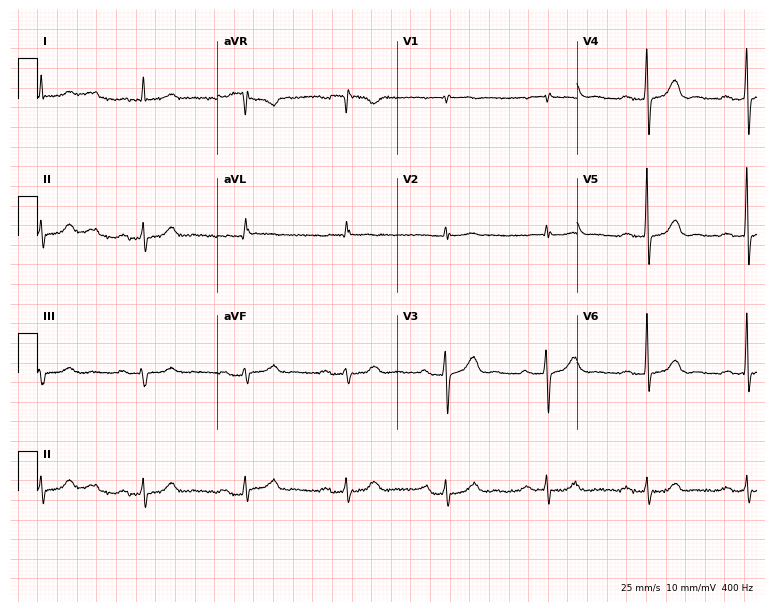
Standard 12-lead ECG recorded from a male patient, 80 years old. The tracing shows first-degree AV block.